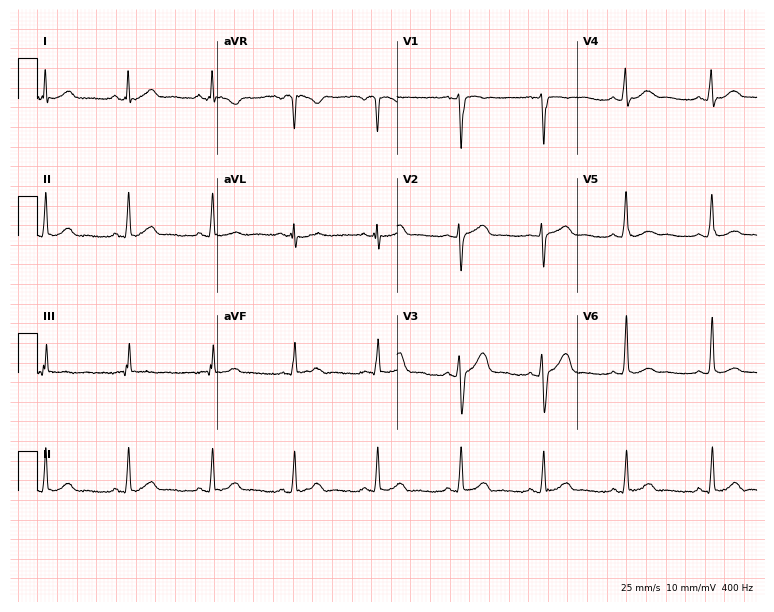
12-lead ECG (7.3-second recording at 400 Hz) from a 26-year-old male. Labelled as a normal ECG.